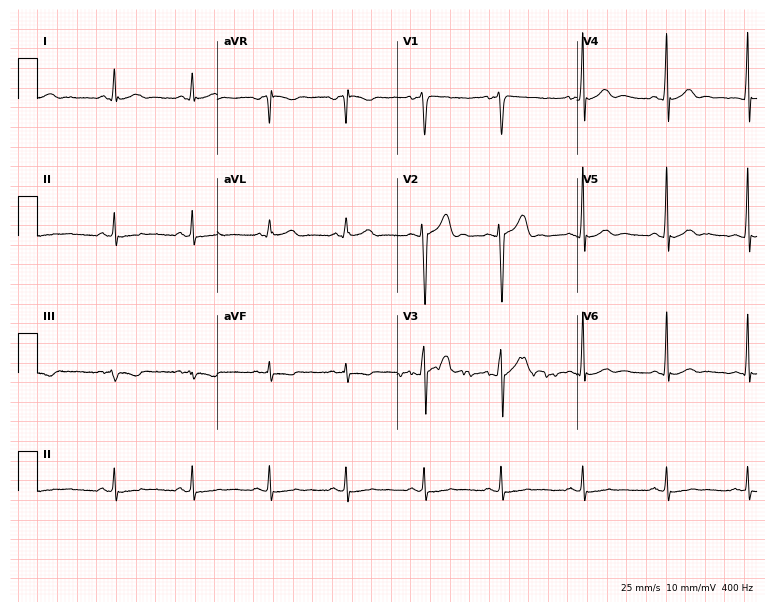
Electrocardiogram, a male patient, 34 years old. Overall reading on record: normal ECG.